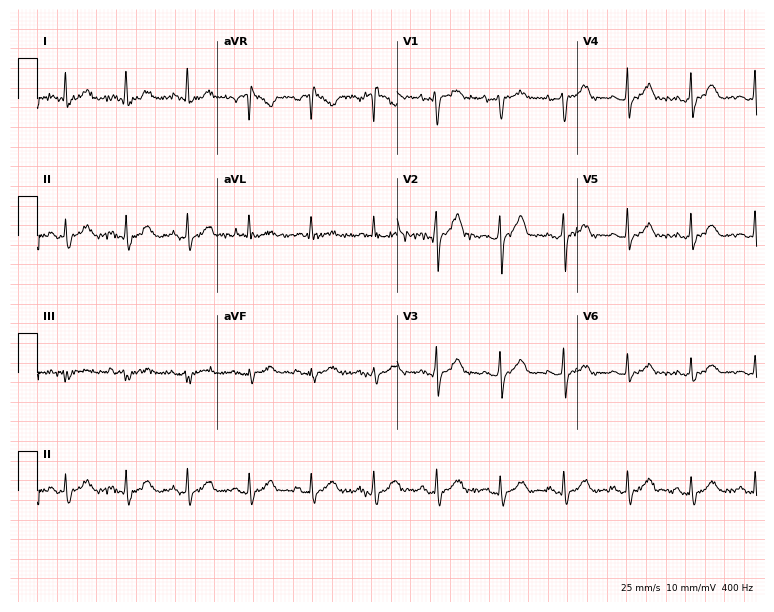
12-lead ECG (7.3-second recording at 400 Hz) from a 65-year-old woman. Labelled as a normal ECG.